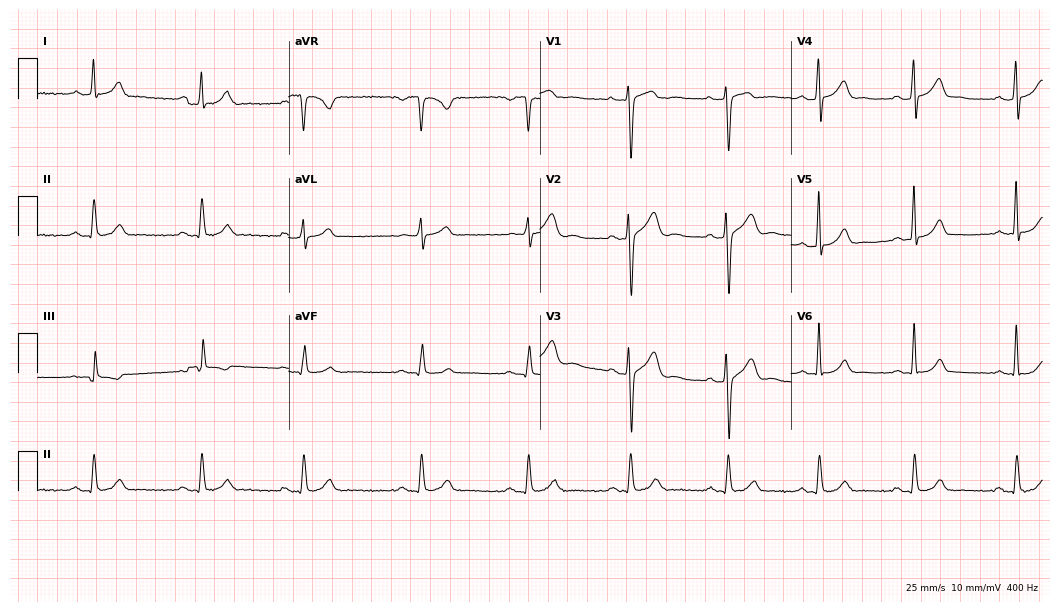
Standard 12-lead ECG recorded from a male, 28 years old (10.2-second recording at 400 Hz). None of these six findings is recorded: first-degree AV block, right bundle branch block, left bundle branch block, sinus bradycardia, atrial fibrillation, sinus tachycardia.